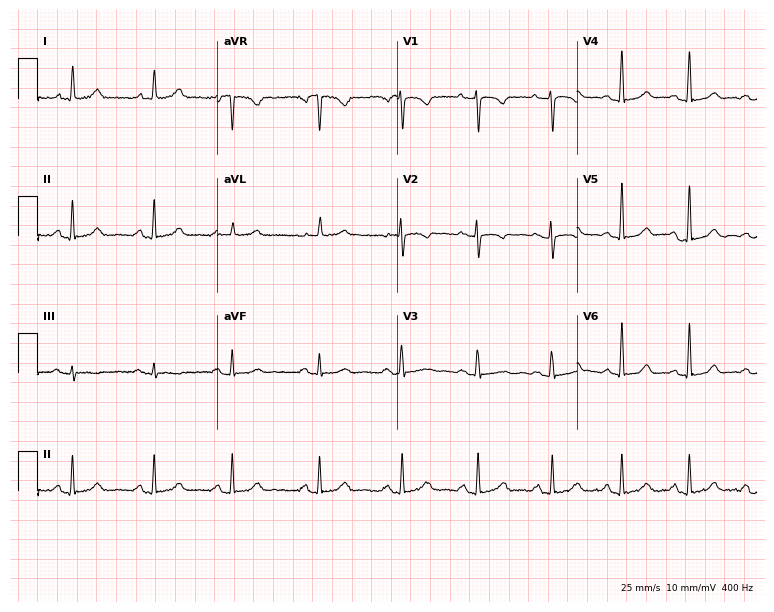
12-lead ECG (7.3-second recording at 400 Hz) from a 44-year-old woman. Labelled as a normal ECG.